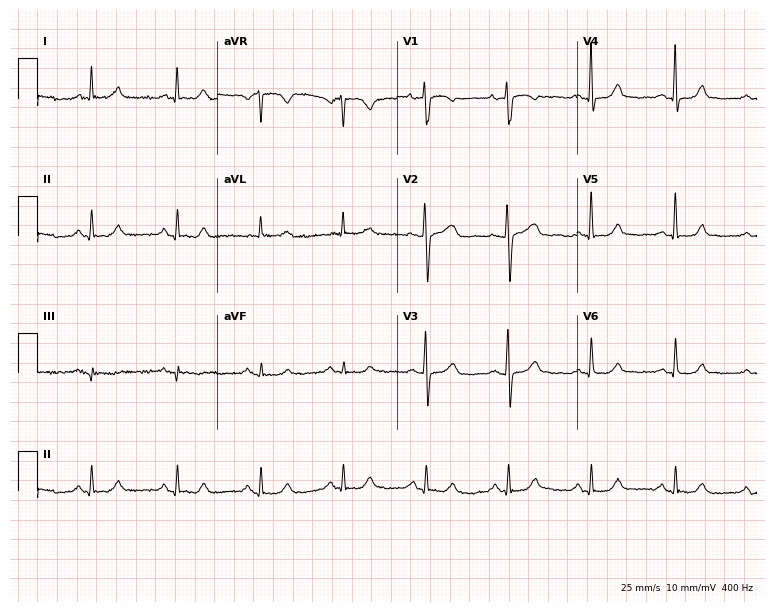
12-lead ECG (7.3-second recording at 400 Hz) from a 64-year-old female. Screened for six findings — first-degree AV block, right bundle branch block, left bundle branch block, sinus bradycardia, atrial fibrillation, sinus tachycardia — none is recorded.